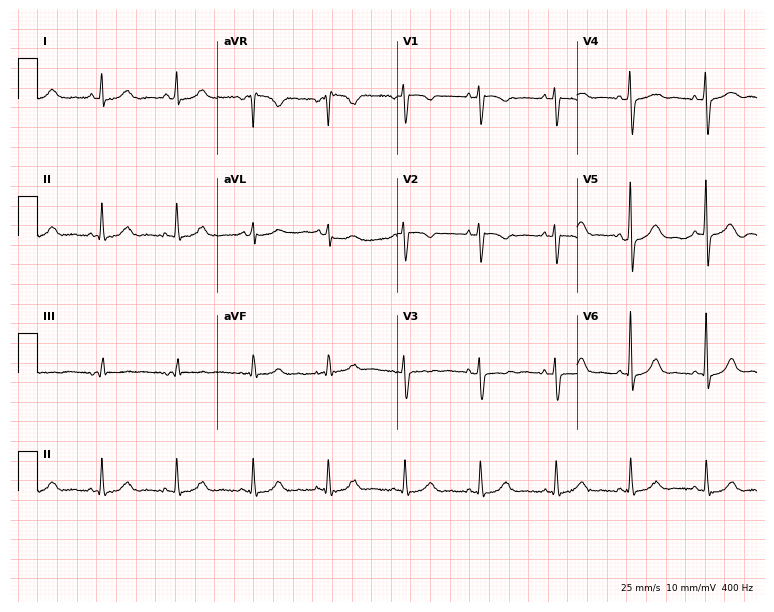
Standard 12-lead ECG recorded from a 44-year-old female patient. None of these six findings is recorded: first-degree AV block, right bundle branch block (RBBB), left bundle branch block (LBBB), sinus bradycardia, atrial fibrillation (AF), sinus tachycardia.